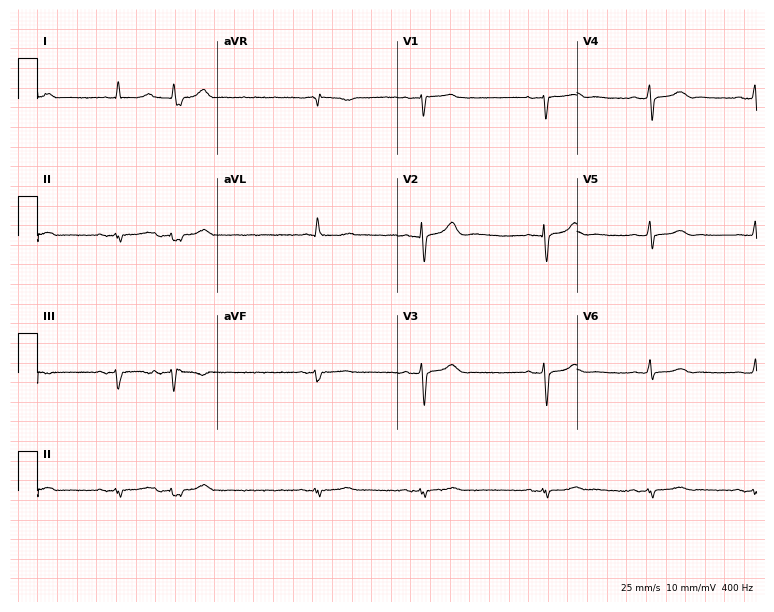
12-lead ECG (7.3-second recording at 400 Hz) from an 82-year-old male patient. Findings include atrial fibrillation.